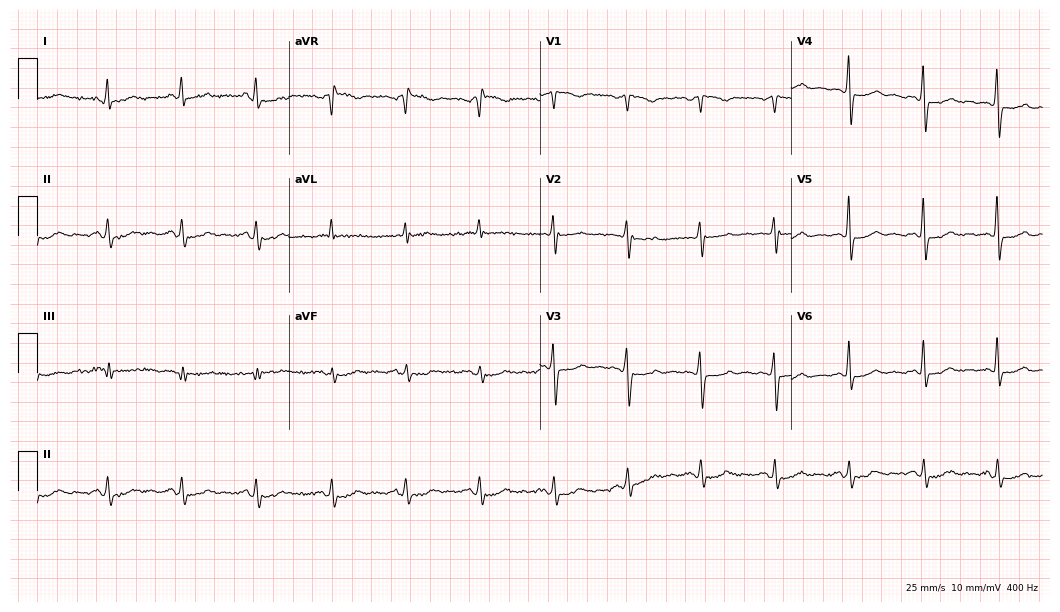
12-lead ECG from a 78-year-old female (10.2-second recording at 400 Hz). No first-degree AV block, right bundle branch block (RBBB), left bundle branch block (LBBB), sinus bradycardia, atrial fibrillation (AF) or sinus tachycardia recorded for this tracing.